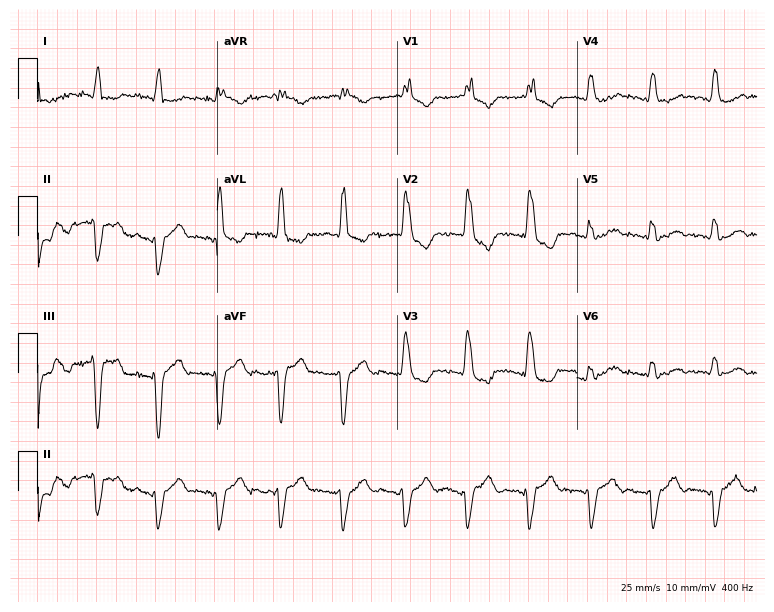
12-lead ECG from a 74-year-old female patient. Findings include right bundle branch block.